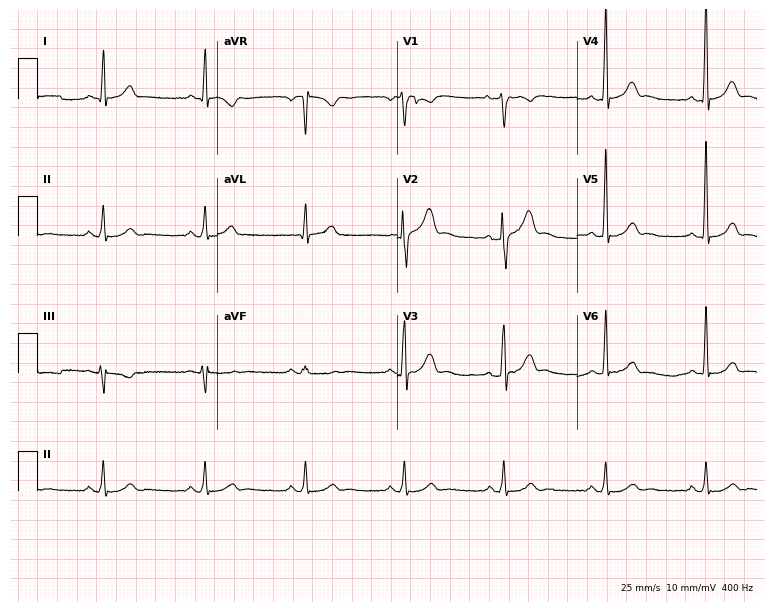
12-lead ECG (7.3-second recording at 400 Hz) from a 33-year-old male. Screened for six findings — first-degree AV block, right bundle branch block, left bundle branch block, sinus bradycardia, atrial fibrillation, sinus tachycardia — none is recorded. Only these six findings were labelled.